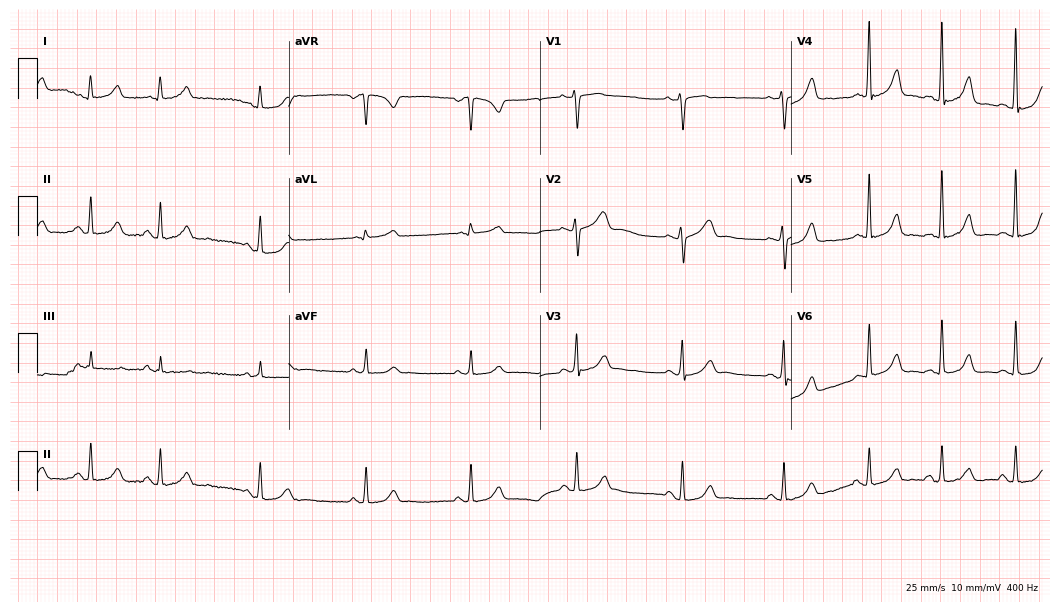
12-lead ECG from a female patient, 25 years old (10.2-second recording at 400 Hz). Recorded interpretation: within normal limits.